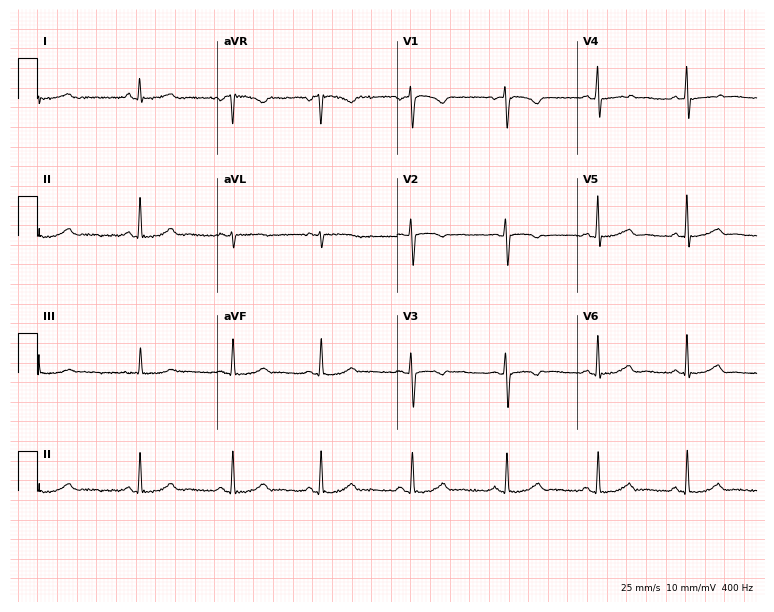
12-lead ECG from a 42-year-old woman. No first-degree AV block, right bundle branch block (RBBB), left bundle branch block (LBBB), sinus bradycardia, atrial fibrillation (AF) or sinus tachycardia recorded for this tracing. Other findings, if any, are not listed.